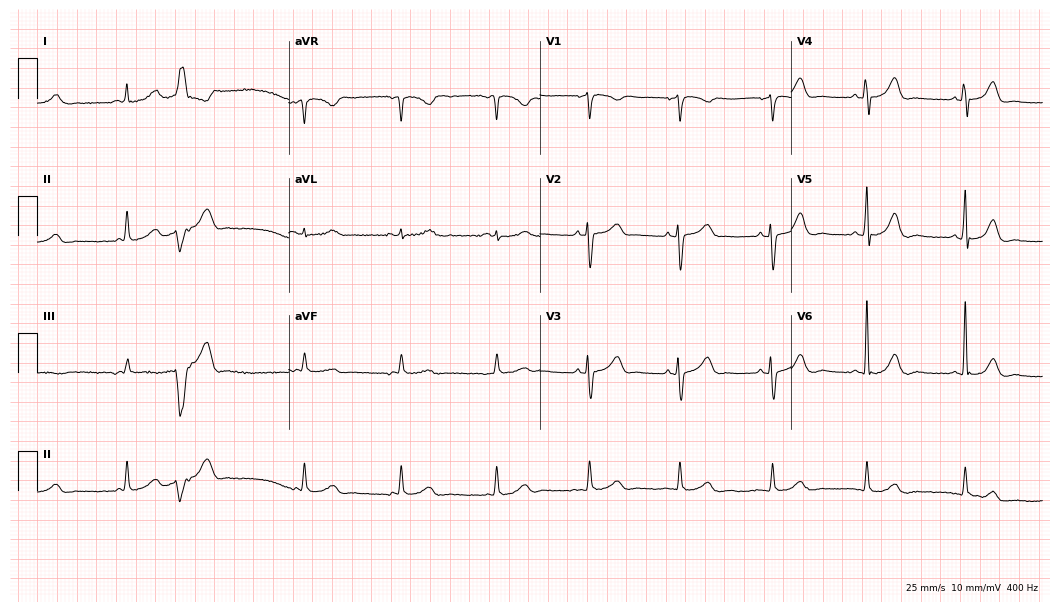
Resting 12-lead electrocardiogram. Patient: a female, 52 years old. None of these six findings is recorded: first-degree AV block, right bundle branch block, left bundle branch block, sinus bradycardia, atrial fibrillation, sinus tachycardia. Other findings, if any, are not listed.